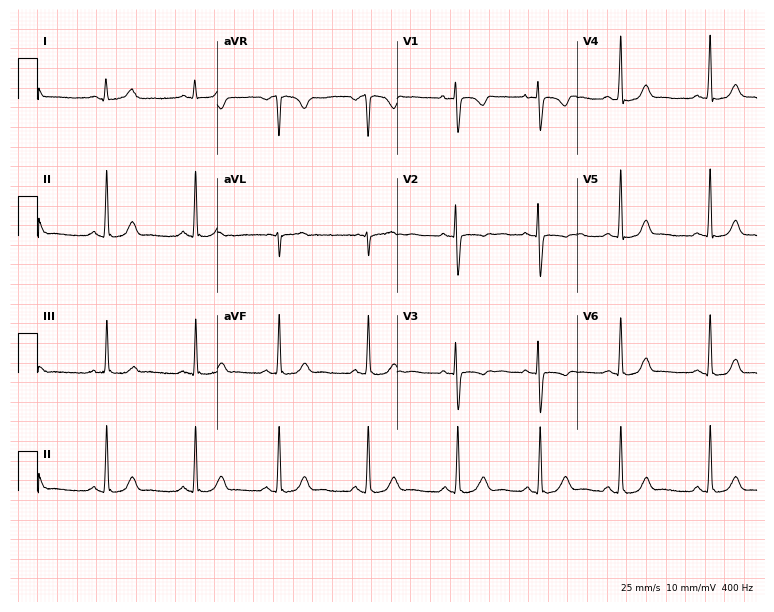
12-lead ECG (7.3-second recording at 400 Hz) from a 25-year-old female patient. Screened for six findings — first-degree AV block, right bundle branch block, left bundle branch block, sinus bradycardia, atrial fibrillation, sinus tachycardia — none is recorded. Other findings, if any, are not listed.